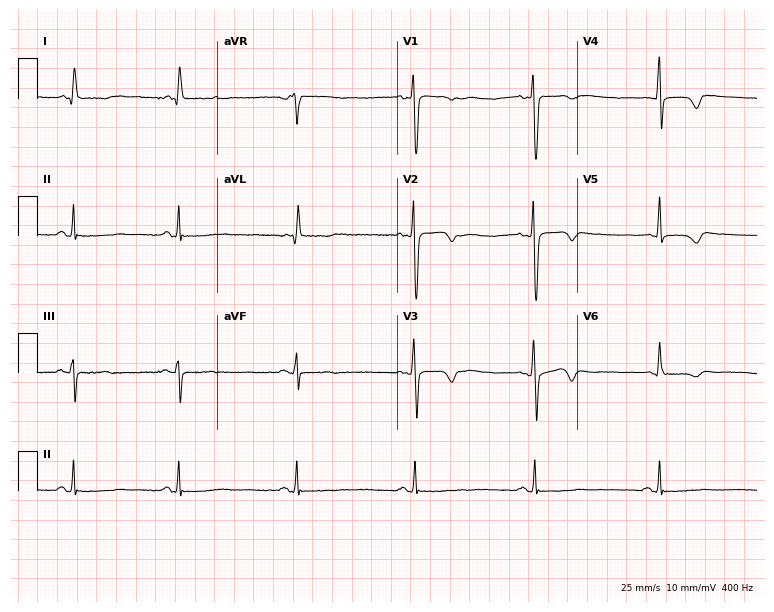
Resting 12-lead electrocardiogram (7.3-second recording at 400 Hz). Patient: a man, 65 years old. None of these six findings is recorded: first-degree AV block, right bundle branch block (RBBB), left bundle branch block (LBBB), sinus bradycardia, atrial fibrillation (AF), sinus tachycardia.